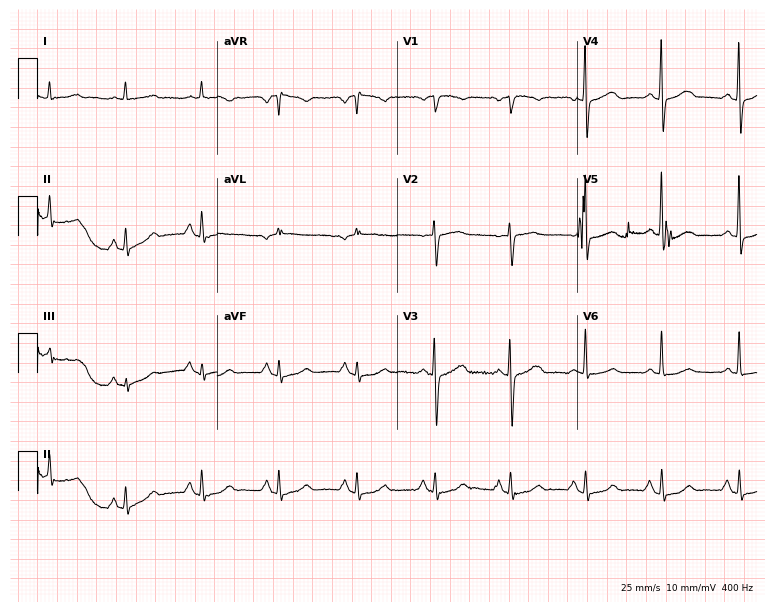
Resting 12-lead electrocardiogram. Patient: a 67-year-old female. Read as a normal ECG.